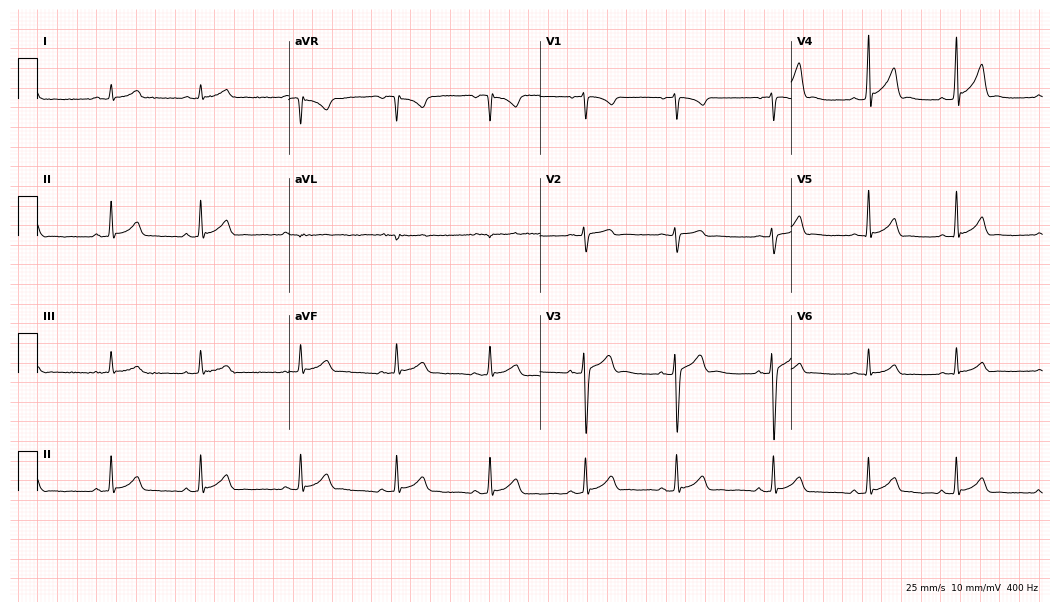
ECG — a male, 19 years old. Labelled as a normal ECG.